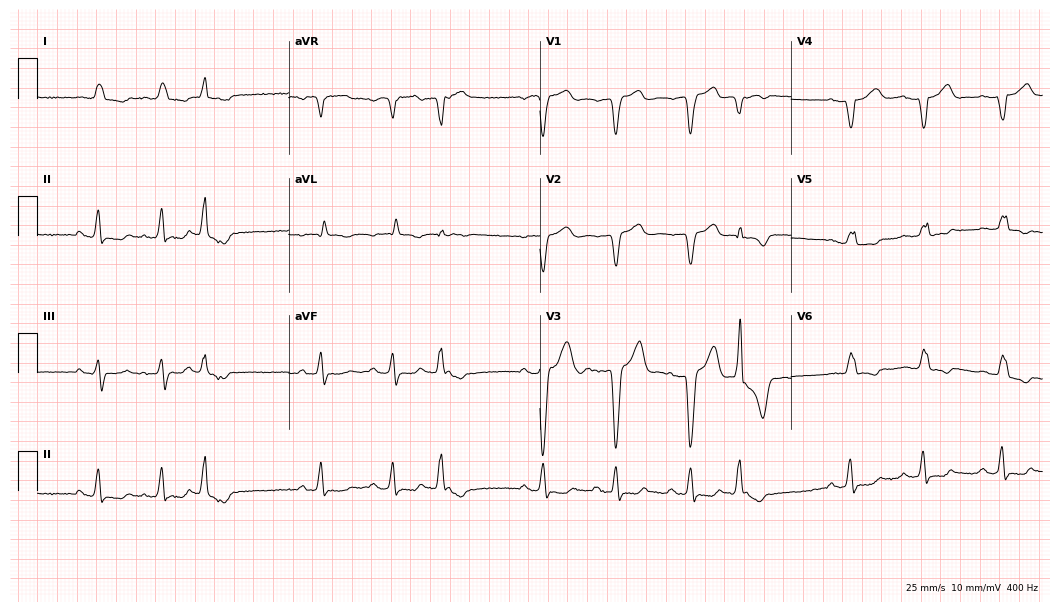
Resting 12-lead electrocardiogram. Patient: a 72-year-old male. The tracing shows atrial fibrillation.